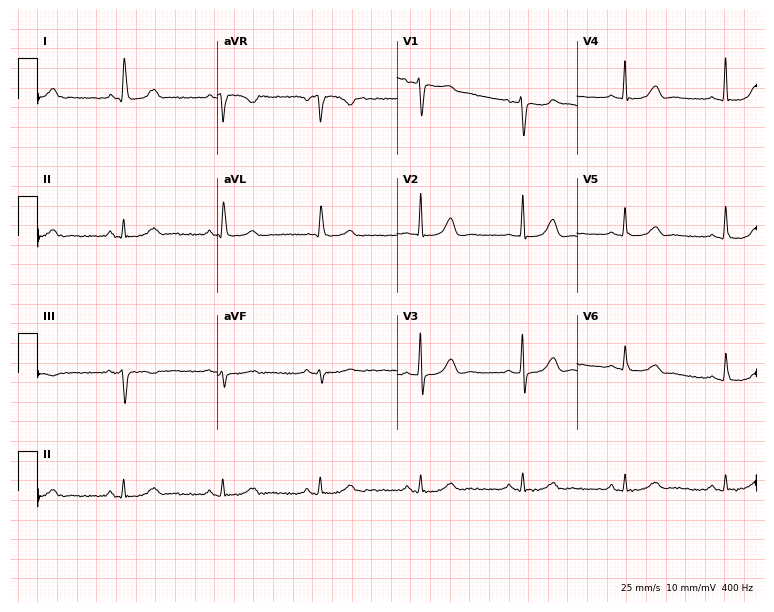
12-lead ECG from a female, 53 years old. Screened for six findings — first-degree AV block, right bundle branch block, left bundle branch block, sinus bradycardia, atrial fibrillation, sinus tachycardia — none is recorded.